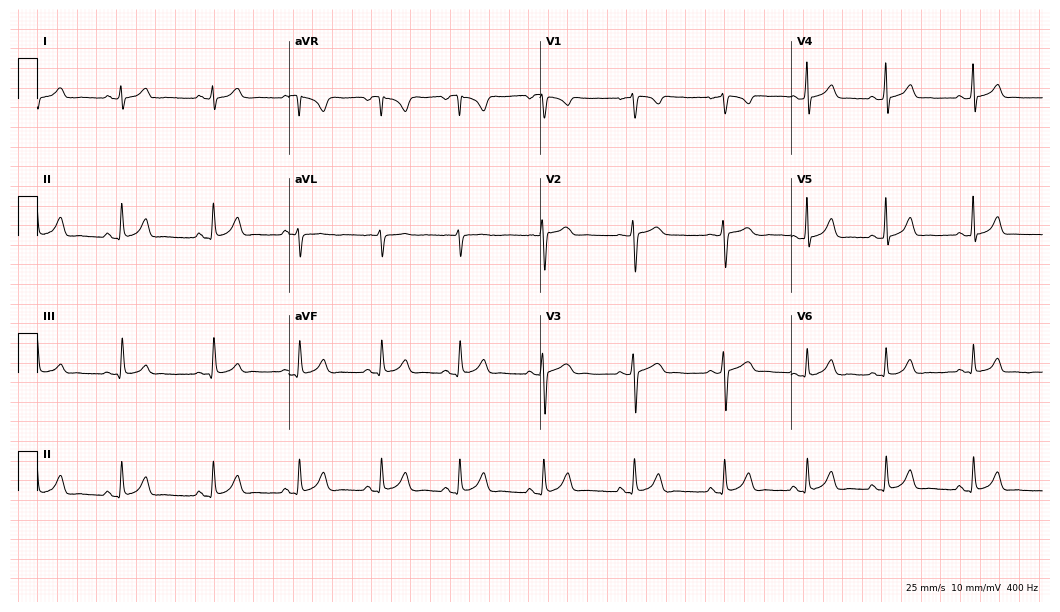
12-lead ECG from a 19-year-old woman. Labelled as a normal ECG.